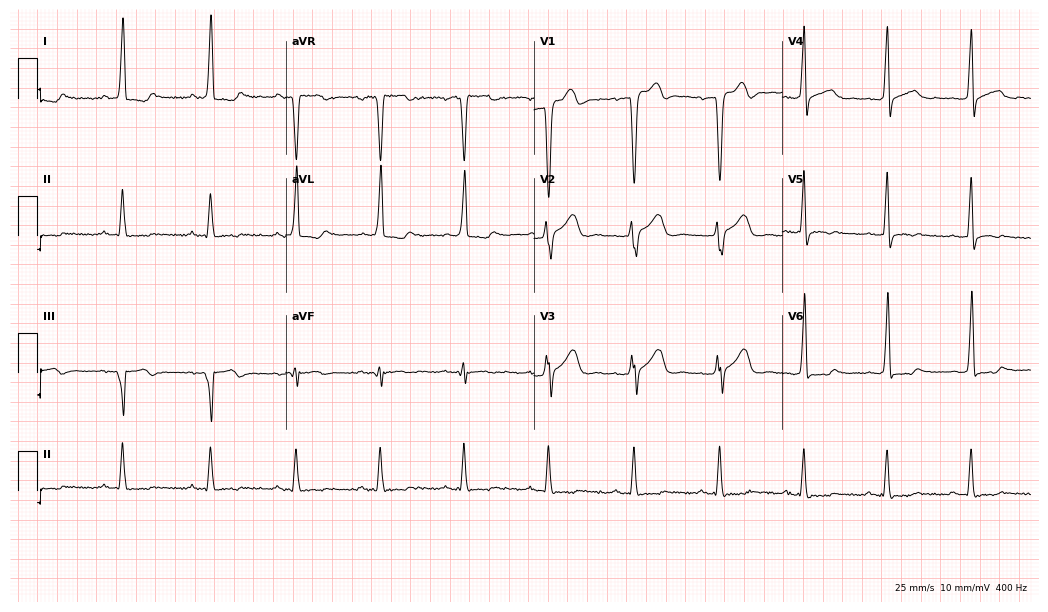
Standard 12-lead ECG recorded from a man, 42 years old. None of these six findings is recorded: first-degree AV block, right bundle branch block (RBBB), left bundle branch block (LBBB), sinus bradycardia, atrial fibrillation (AF), sinus tachycardia. Only these six findings were labelled.